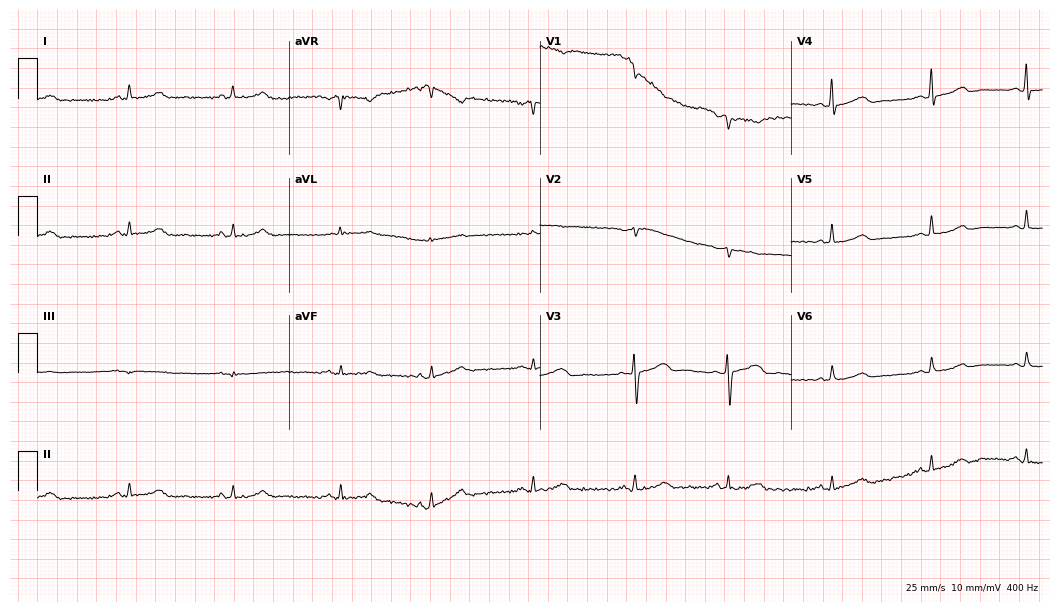
Standard 12-lead ECG recorded from a 50-year-old woman (10.2-second recording at 400 Hz). Read as a normal ECG.